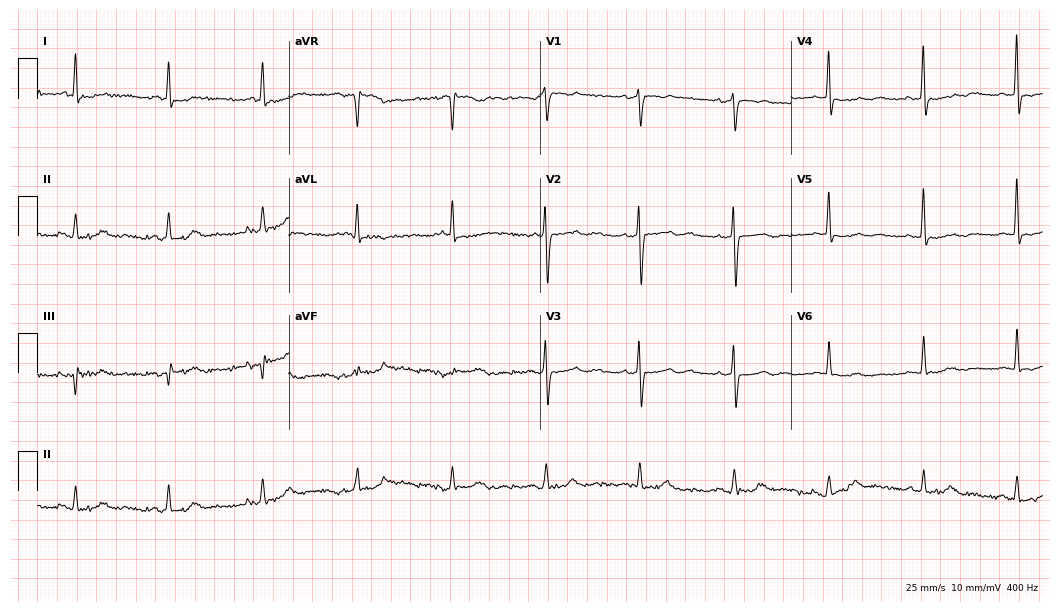
Electrocardiogram (10.2-second recording at 400 Hz), a female, 66 years old. Overall reading on record: normal ECG.